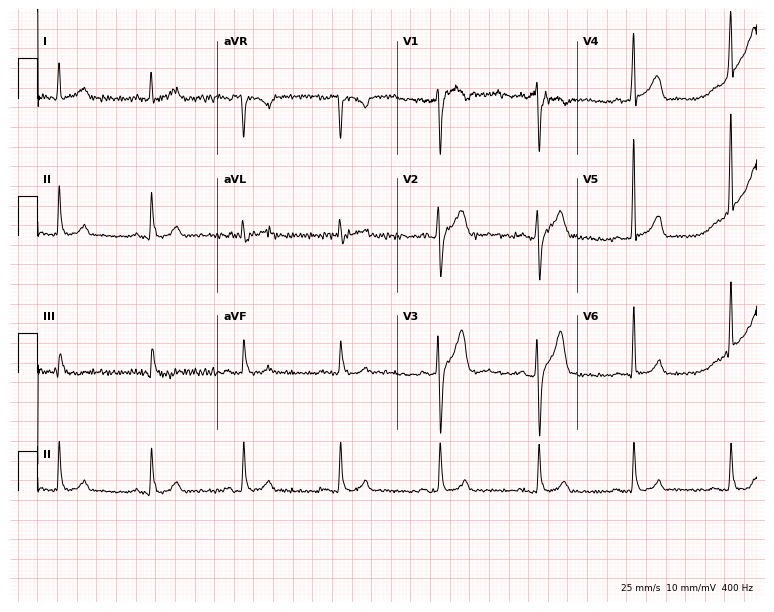
Resting 12-lead electrocardiogram. Patient: a 36-year-old male. Read as a normal ECG.